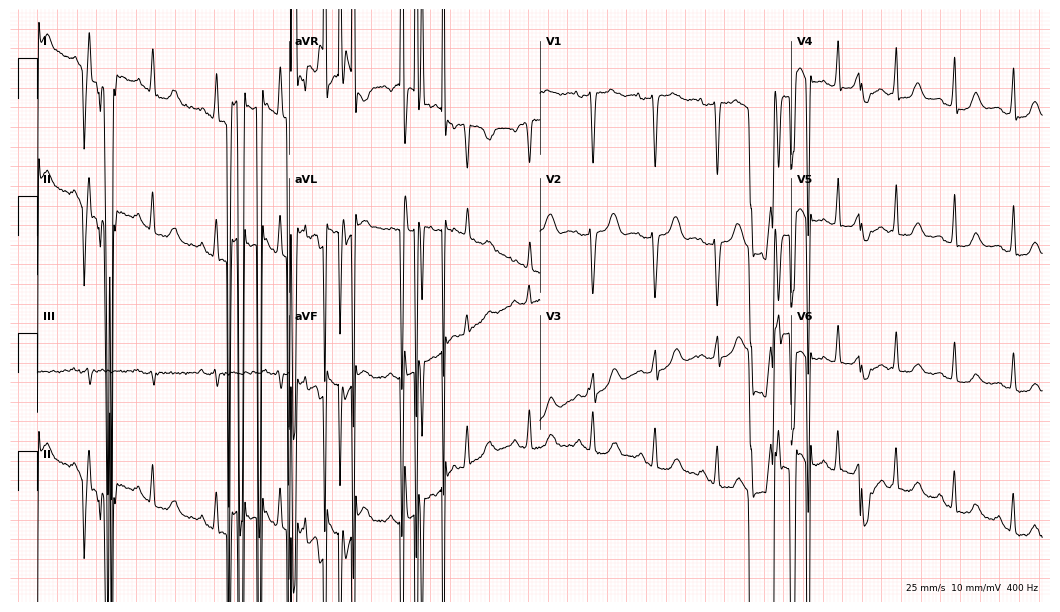
12-lead ECG from a female patient, 50 years old. Screened for six findings — first-degree AV block, right bundle branch block, left bundle branch block, sinus bradycardia, atrial fibrillation, sinus tachycardia — none is recorded. Only these six findings were labelled.